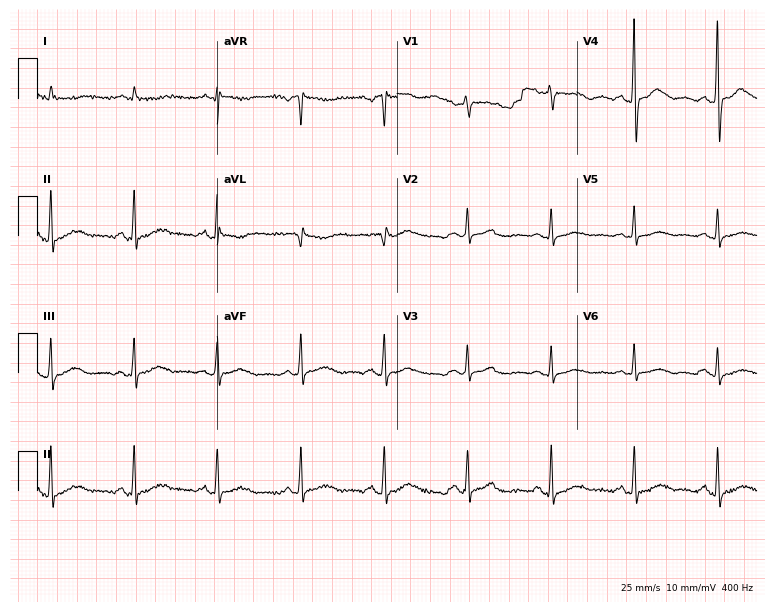
Resting 12-lead electrocardiogram (7.3-second recording at 400 Hz). Patient: a male, 81 years old. None of these six findings is recorded: first-degree AV block, right bundle branch block (RBBB), left bundle branch block (LBBB), sinus bradycardia, atrial fibrillation (AF), sinus tachycardia.